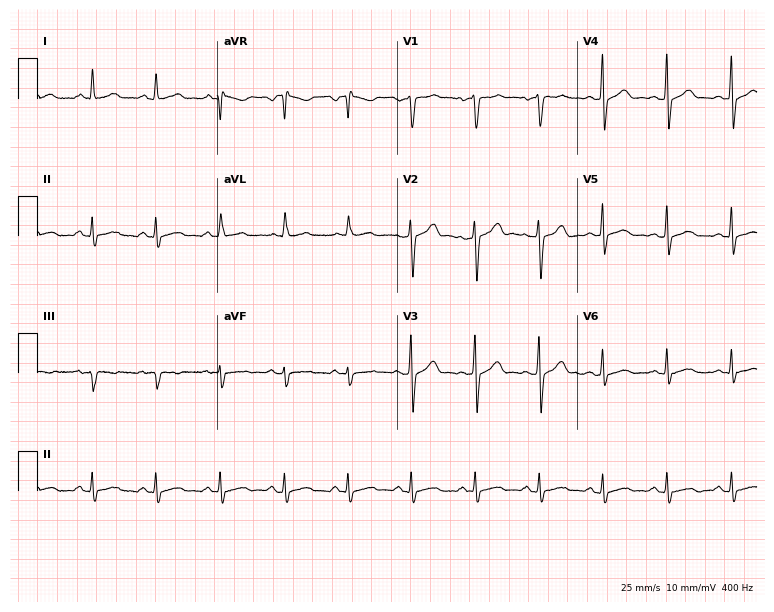
Electrocardiogram (7.3-second recording at 400 Hz), a 49-year-old female patient. Overall reading on record: normal ECG.